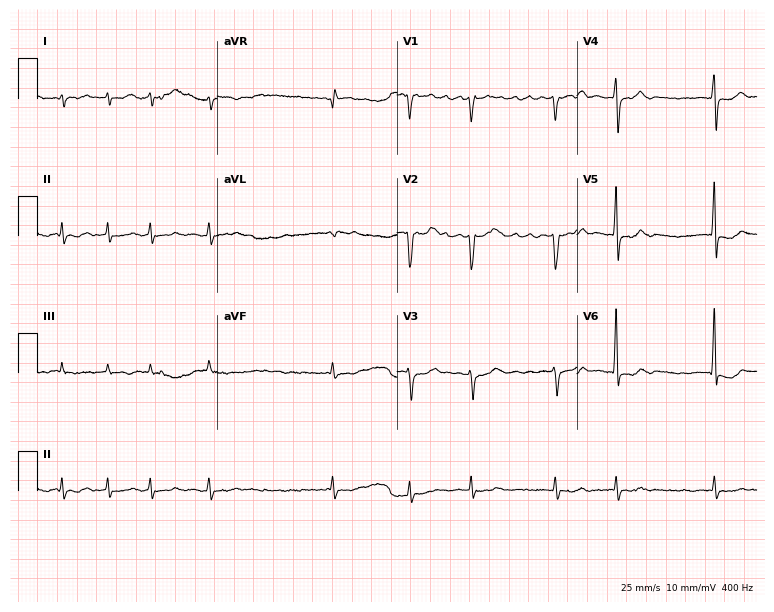
Standard 12-lead ECG recorded from a male patient, 80 years old (7.3-second recording at 400 Hz). The tracing shows atrial fibrillation.